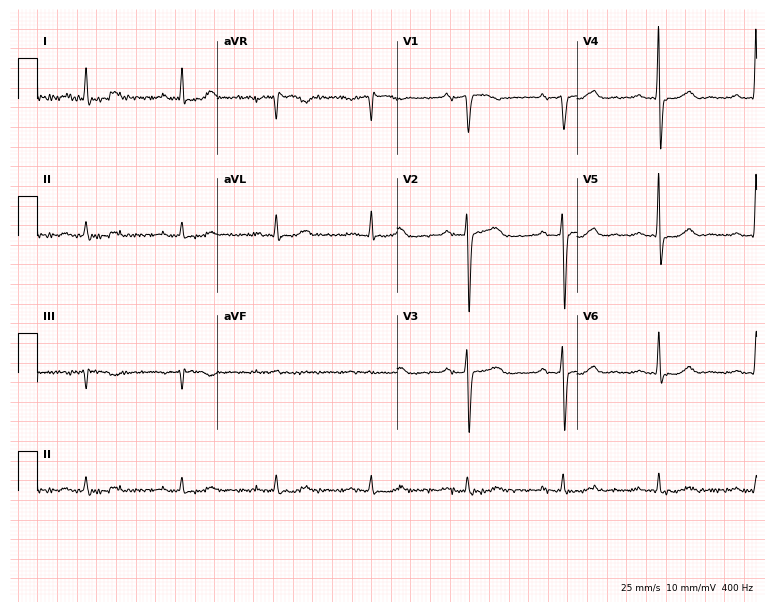
Resting 12-lead electrocardiogram (7.3-second recording at 400 Hz). Patient: a man, 84 years old. None of these six findings is recorded: first-degree AV block, right bundle branch block, left bundle branch block, sinus bradycardia, atrial fibrillation, sinus tachycardia.